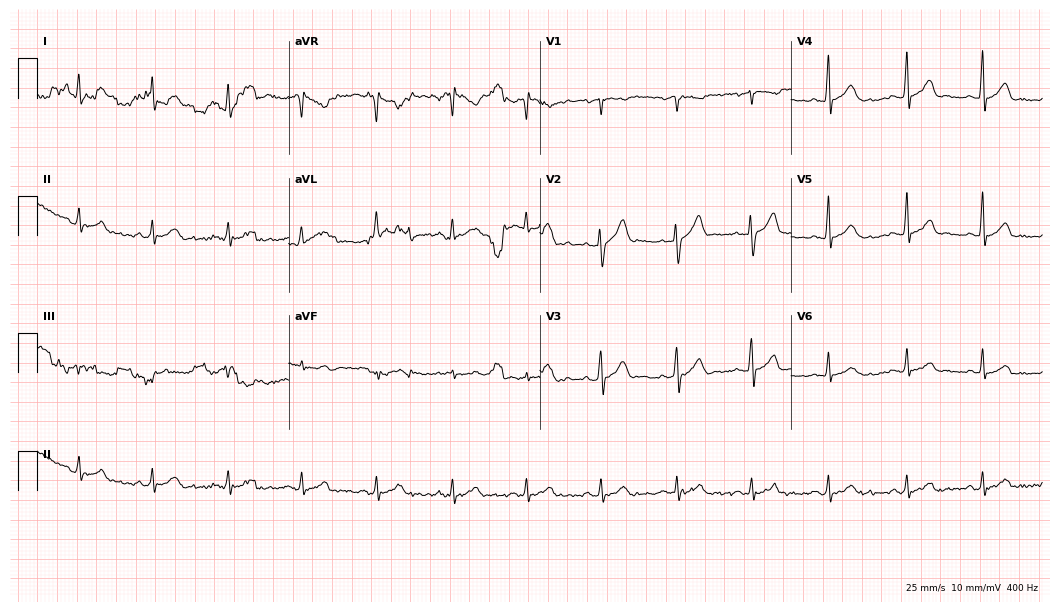
Resting 12-lead electrocardiogram. Patient: a 32-year-old male. None of these six findings is recorded: first-degree AV block, right bundle branch block (RBBB), left bundle branch block (LBBB), sinus bradycardia, atrial fibrillation (AF), sinus tachycardia.